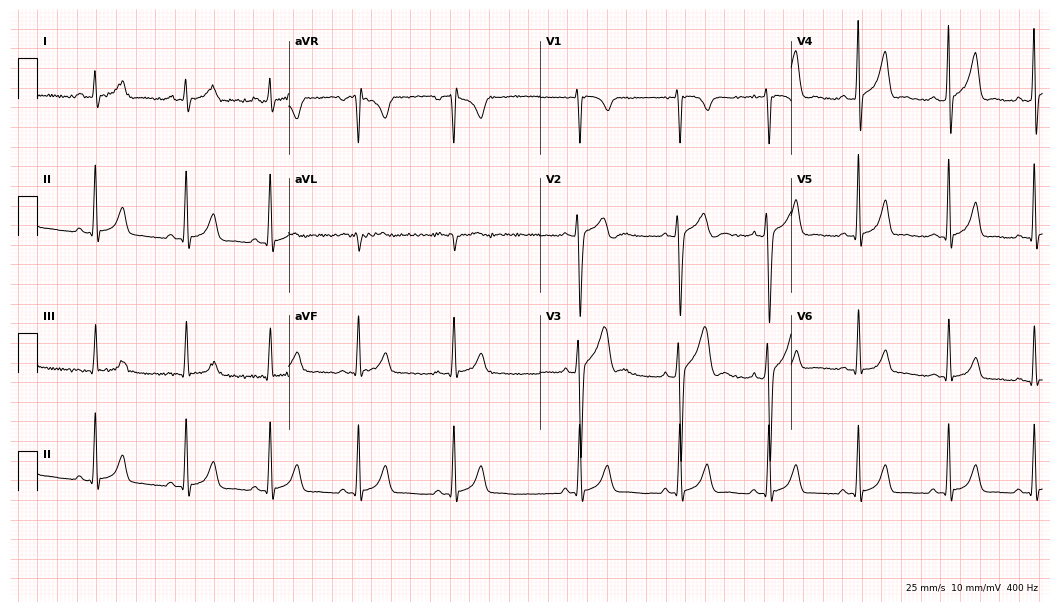
Standard 12-lead ECG recorded from a male patient, 21 years old (10.2-second recording at 400 Hz). None of these six findings is recorded: first-degree AV block, right bundle branch block (RBBB), left bundle branch block (LBBB), sinus bradycardia, atrial fibrillation (AF), sinus tachycardia.